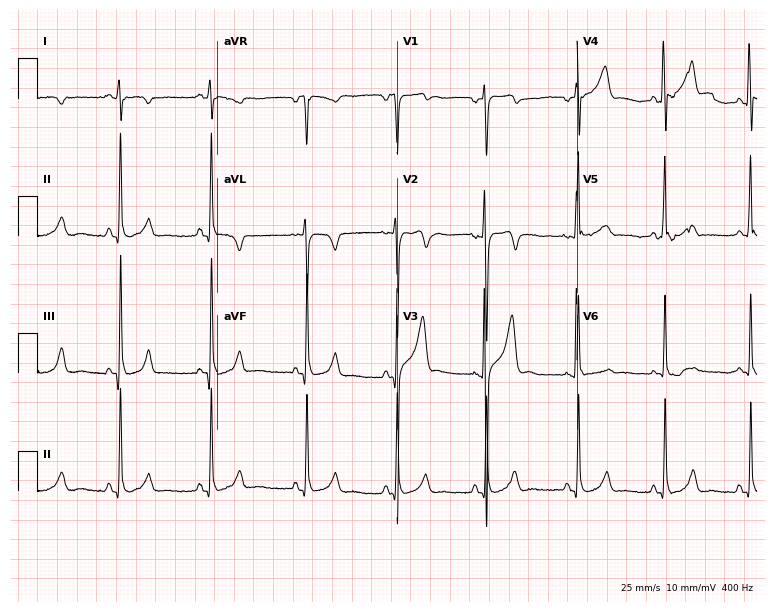
12-lead ECG from a male, 21 years old. No first-degree AV block, right bundle branch block (RBBB), left bundle branch block (LBBB), sinus bradycardia, atrial fibrillation (AF) or sinus tachycardia recorded for this tracing.